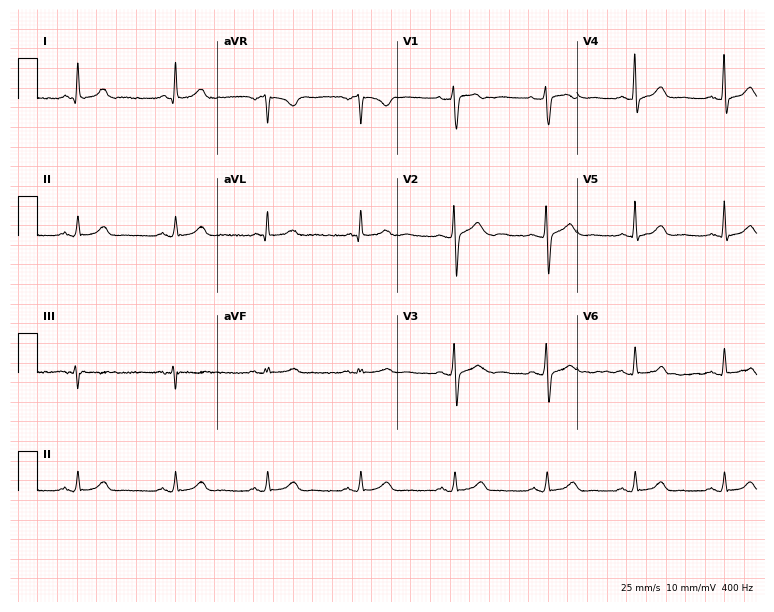
Standard 12-lead ECG recorded from a 43-year-old female patient. Read as a normal ECG.